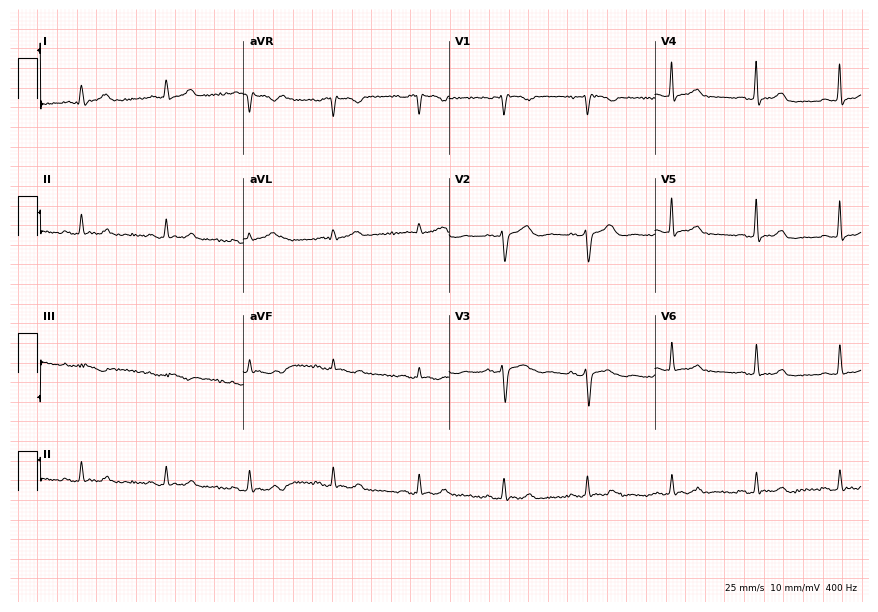
12-lead ECG from a 78-year-old woman (8.4-second recording at 400 Hz). Recorded interpretation: within normal limits.